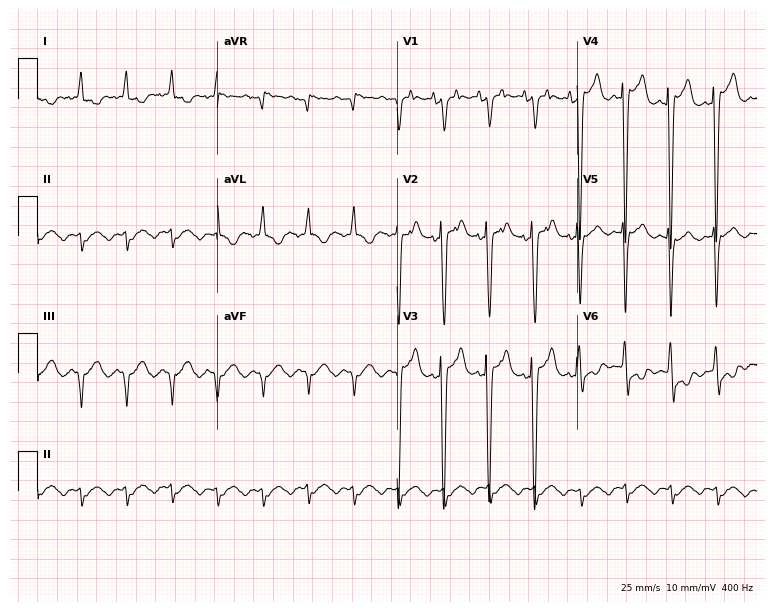
12-lead ECG (7.3-second recording at 400 Hz) from a male, 81 years old. Screened for six findings — first-degree AV block, right bundle branch block, left bundle branch block, sinus bradycardia, atrial fibrillation, sinus tachycardia — none is recorded. Only these six findings were labelled.